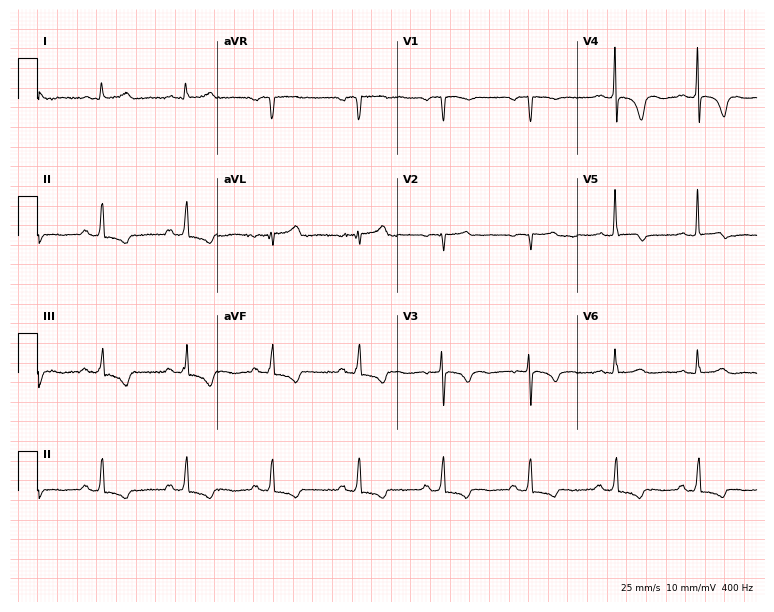
Resting 12-lead electrocardiogram. Patient: a female, 83 years old. None of these six findings is recorded: first-degree AV block, right bundle branch block, left bundle branch block, sinus bradycardia, atrial fibrillation, sinus tachycardia. Findings outside these six are not listed.